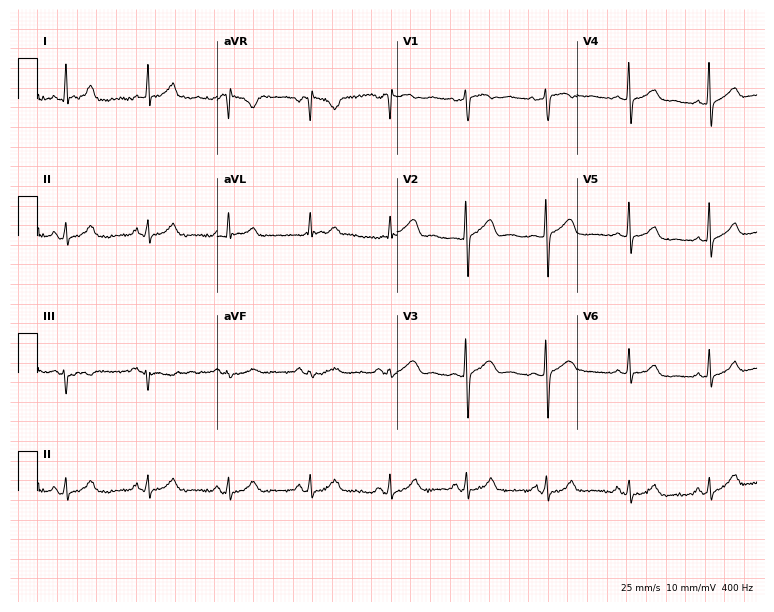
Electrocardiogram (7.3-second recording at 400 Hz), a woman, 43 years old. Overall reading on record: normal ECG.